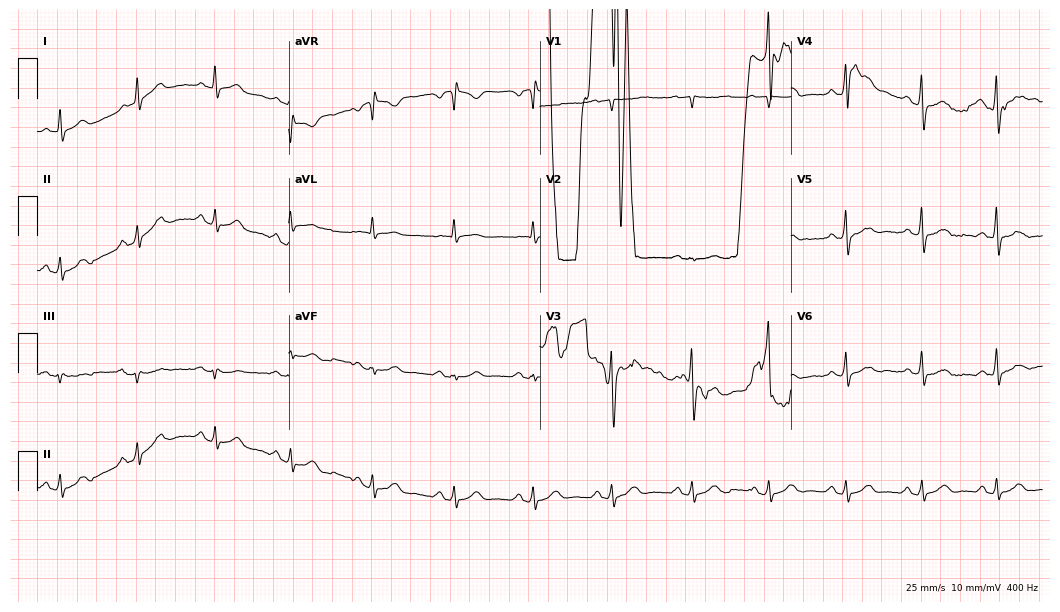
Resting 12-lead electrocardiogram. Patient: a 57-year-old male. None of these six findings is recorded: first-degree AV block, right bundle branch block, left bundle branch block, sinus bradycardia, atrial fibrillation, sinus tachycardia. Findings outside these six are not listed.